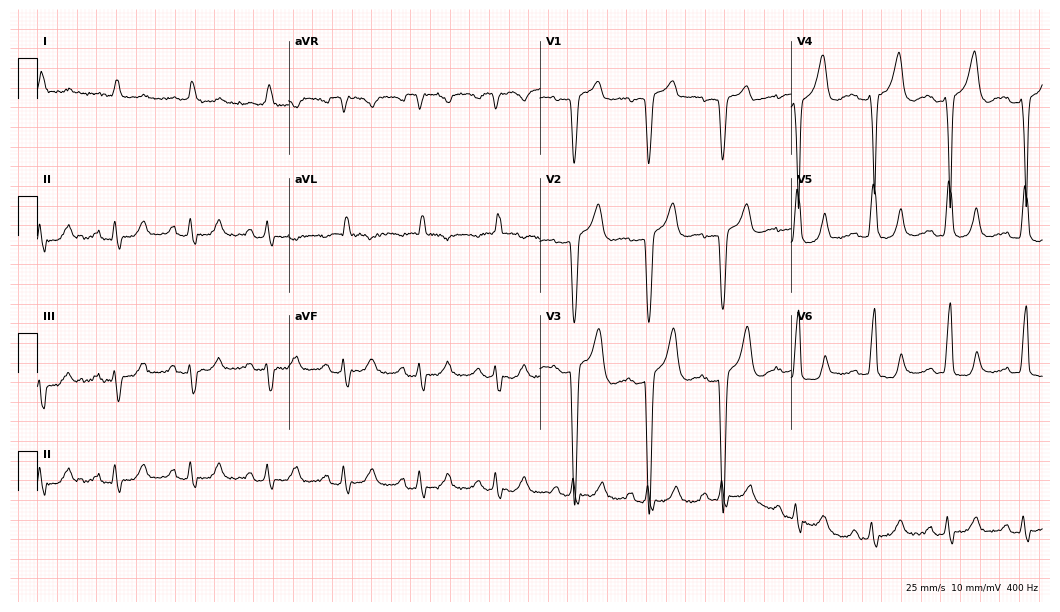
ECG — a 73-year-old female patient. Screened for six findings — first-degree AV block, right bundle branch block, left bundle branch block, sinus bradycardia, atrial fibrillation, sinus tachycardia — none is recorded.